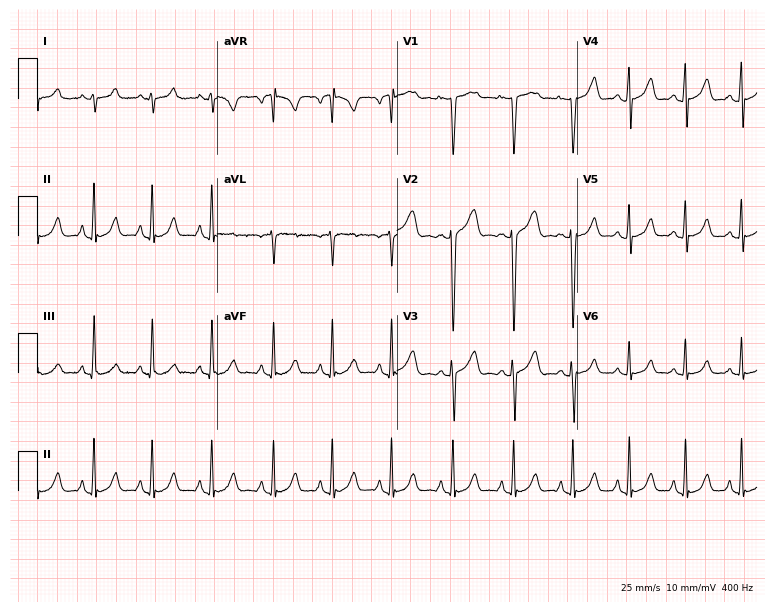
Resting 12-lead electrocardiogram. Patient: a woman, 18 years old. The tracing shows sinus tachycardia (a sinus rate of 100 beats per minute or more).